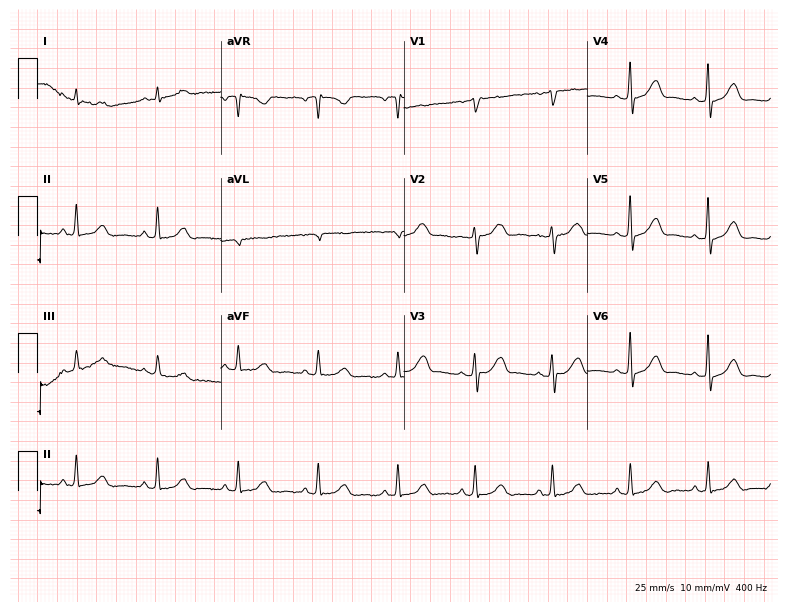
Standard 12-lead ECG recorded from a 35-year-old female (7.5-second recording at 400 Hz). Read as a normal ECG.